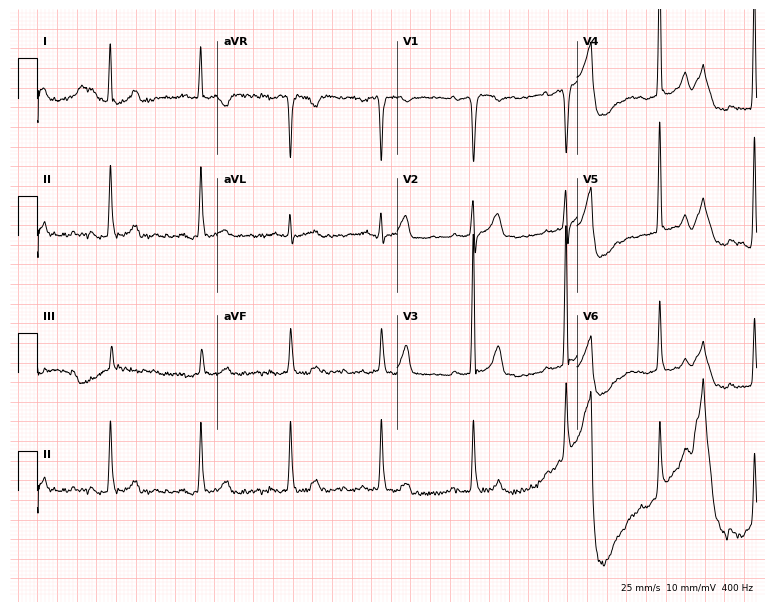
12-lead ECG from a 77-year-old man. Recorded interpretation: within normal limits.